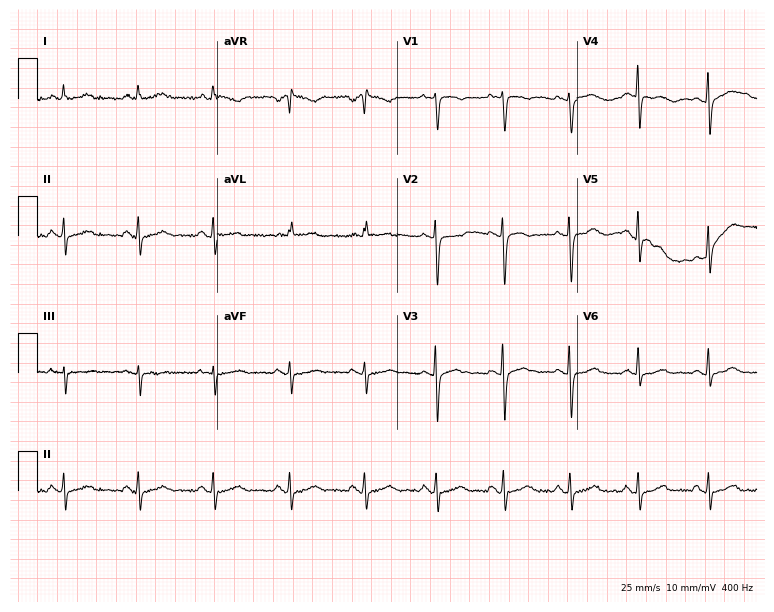
Electrocardiogram (7.3-second recording at 400 Hz), a woman, 42 years old. Of the six screened findings (first-degree AV block, right bundle branch block (RBBB), left bundle branch block (LBBB), sinus bradycardia, atrial fibrillation (AF), sinus tachycardia), none is recorded. Findings outside these six are not listed.